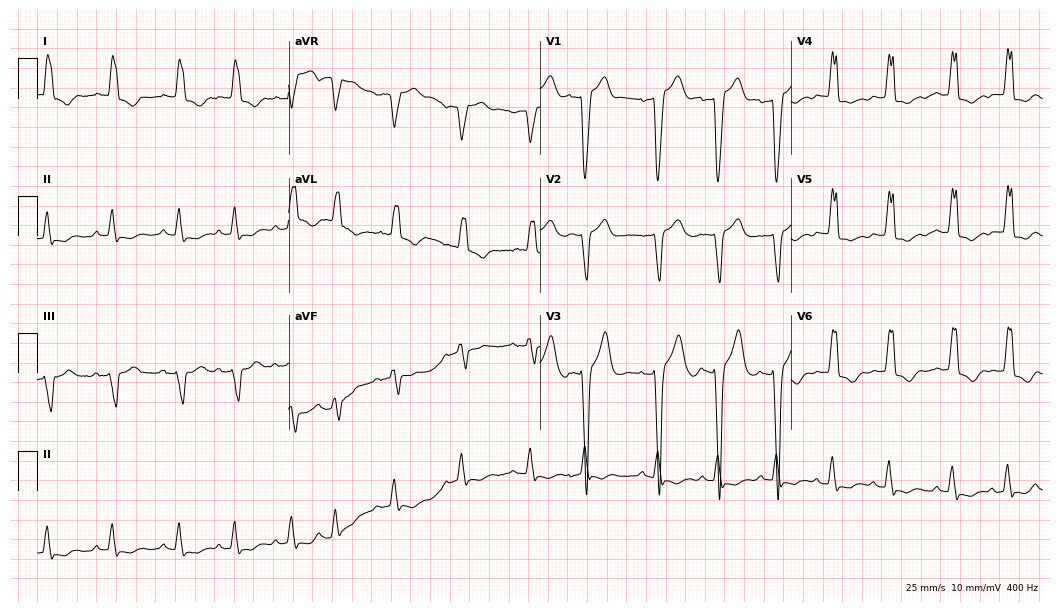
Resting 12-lead electrocardiogram. Patient: a female, 85 years old. The tracing shows left bundle branch block (LBBB).